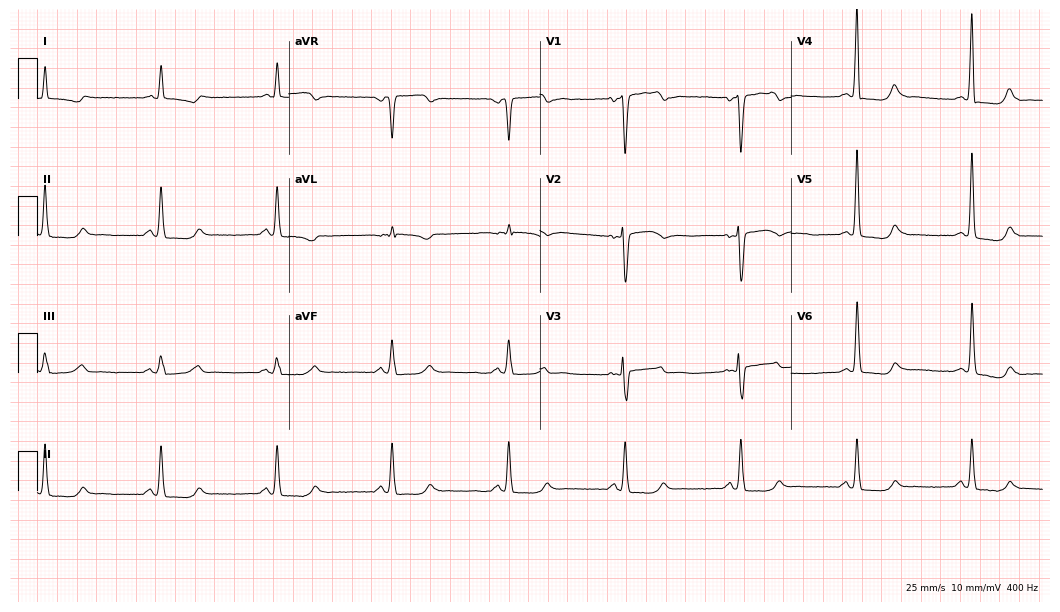
Resting 12-lead electrocardiogram (10.2-second recording at 400 Hz). Patient: a female, 76 years old. None of these six findings is recorded: first-degree AV block, right bundle branch block, left bundle branch block, sinus bradycardia, atrial fibrillation, sinus tachycardia.